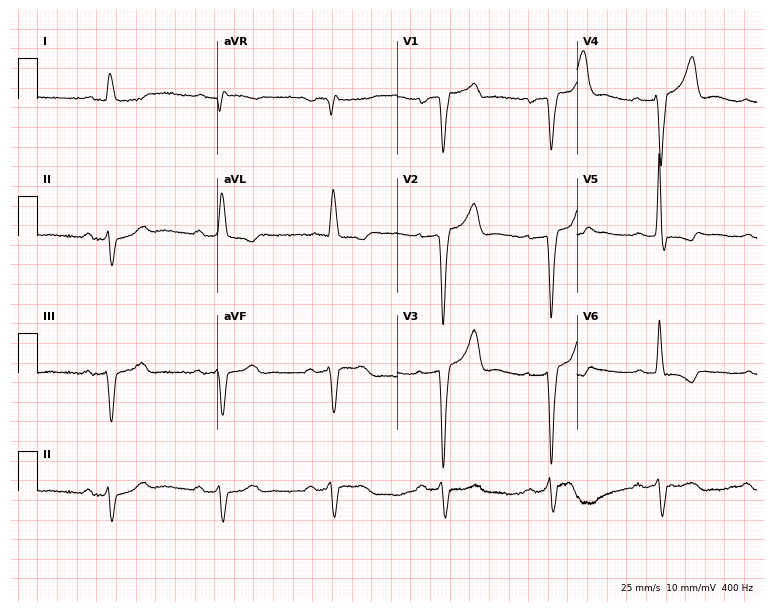
Resting 12-lead electrocardiogram (7.3-second recording at 400 Hz). Patient: a 79-year-old male. None of these six findings is recorded: first-degree AV block, right bundle branch block, left bundle branch block, sinus bradycardia, atrial fibrillation, sinus tachycardia. Only these six findings were labelled.